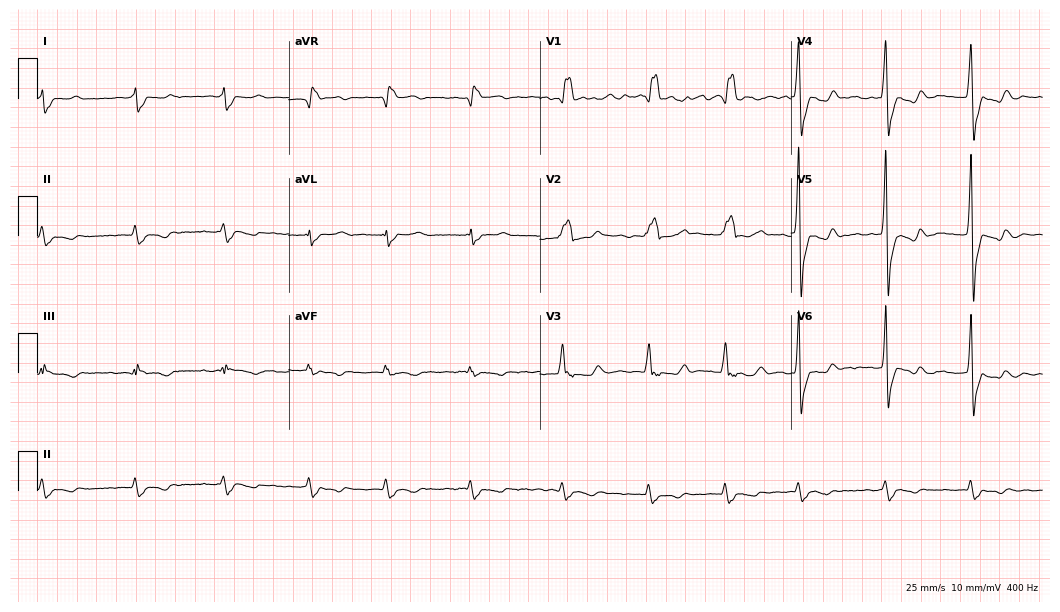
Resting 12-lead electrocardiogram. Patient: a male, 78 years old. The tracing shows right bundle branch block, atrial fibrillation.